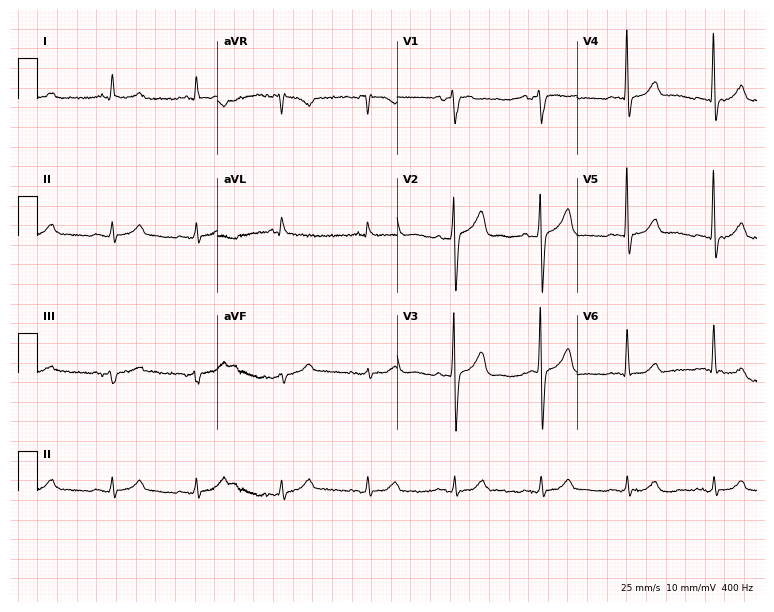
ECG (7.3-second recording at 400 Hz) — a male, 81 years old. Labelled as a normal ECG.